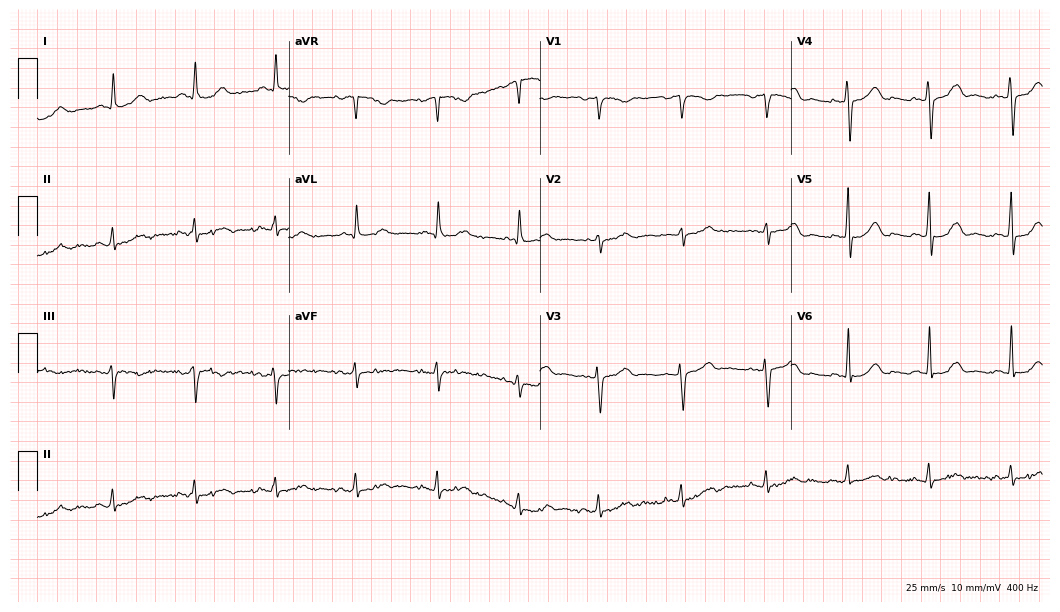
Electrocardiogram (10.2-second recording at 400 Hz), a 73-year-old female. Overall reading on record: normal ECG.